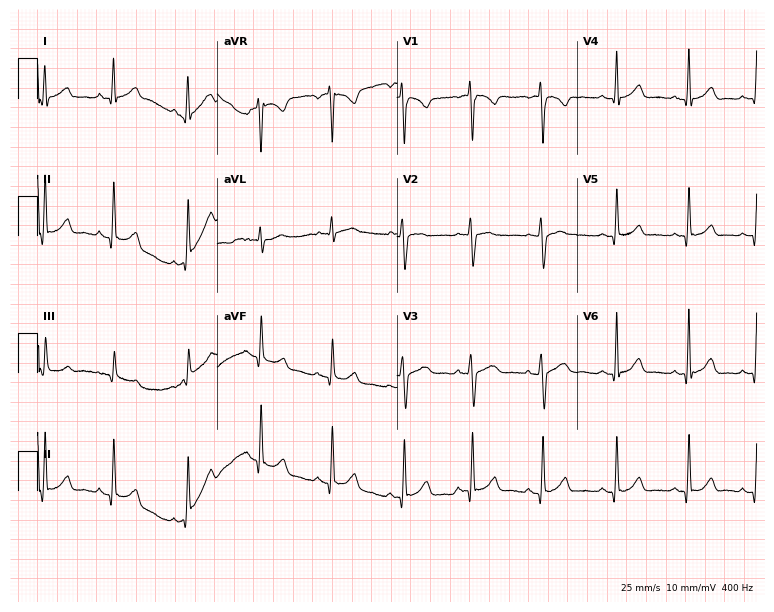
Electrocardiogram (7.3-second recording at 400 Hz), a woman, 29 years old. Overall reading on record: normal ECG.